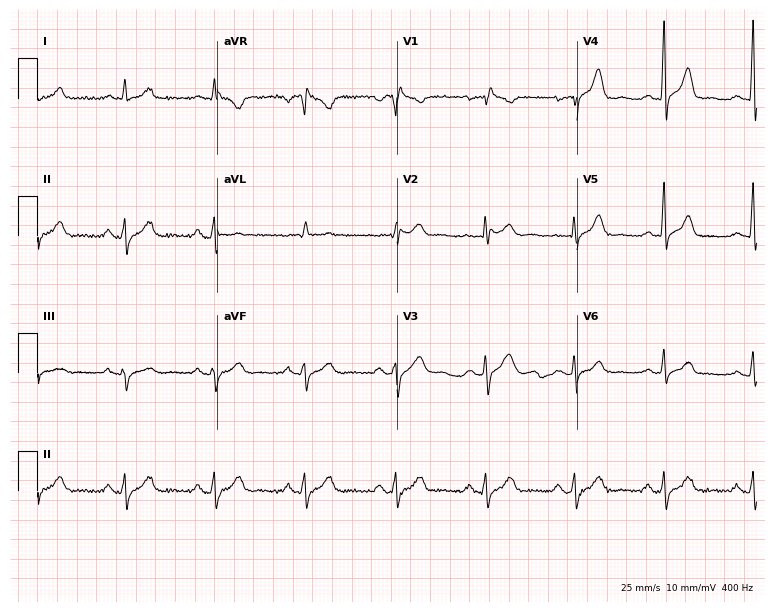
ECG (7.3-second recording at 400 Hz) — a male patient, 65 years old. Screened for six findings — first-degree AV block, right bundle branch block, left bundle branch block, sinus bradycardia, atrial fibrillation, sinus tachycardia — none is recorded. Other findings, if any, are not listed.